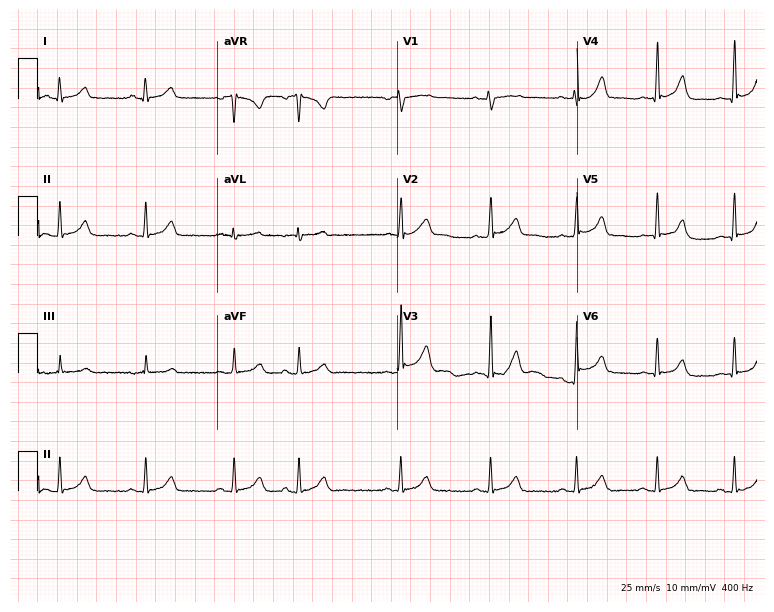
Resting 12-lead electrocardiogram. Patient: a 23-year-old female. Read as a normal ECG.